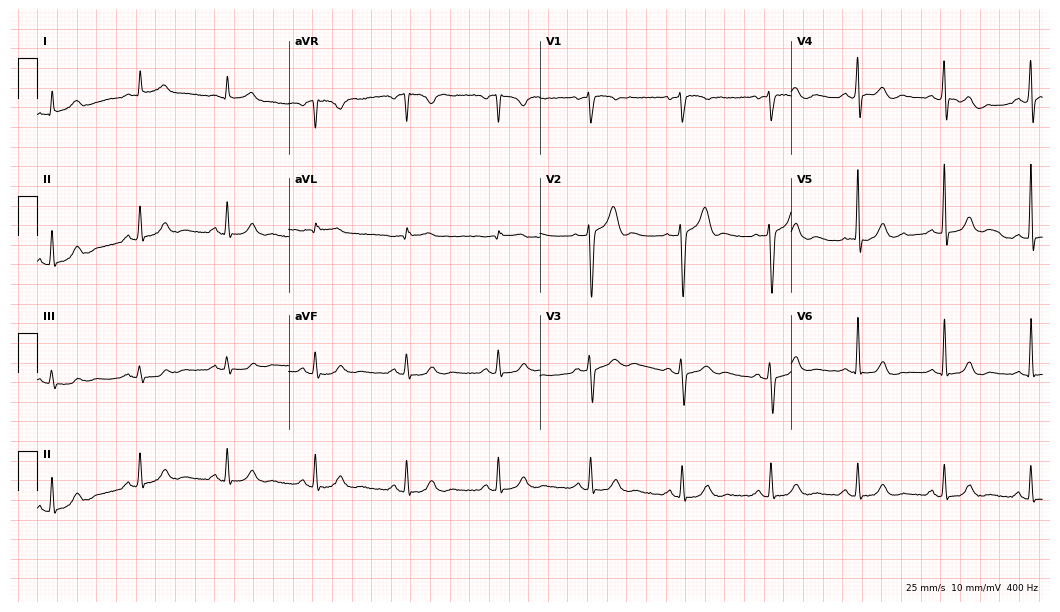
Standard 12-lead ECG recorded from a male patient, 56 years old. Read as a normal ECG.